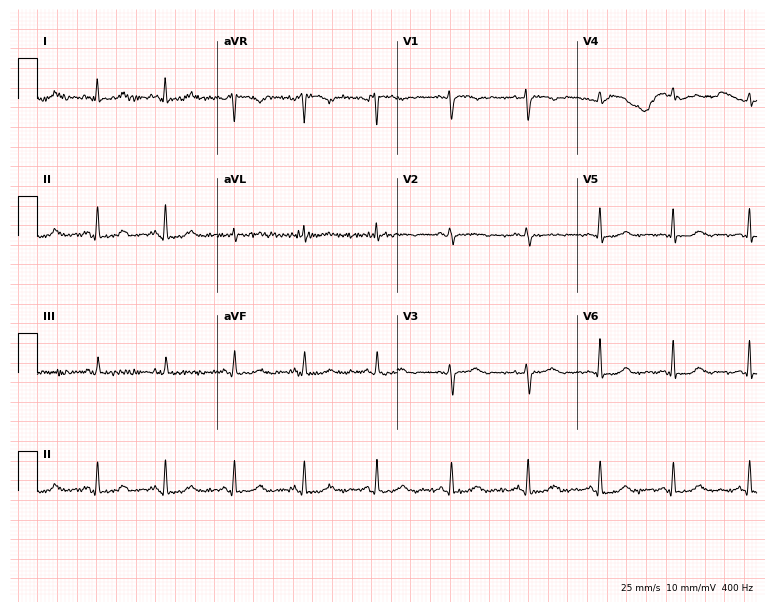
12-lead ECG from a female patient, 49 years old (7.3-second recording at 400 Hz). Recorded interpretation: within normal limits.